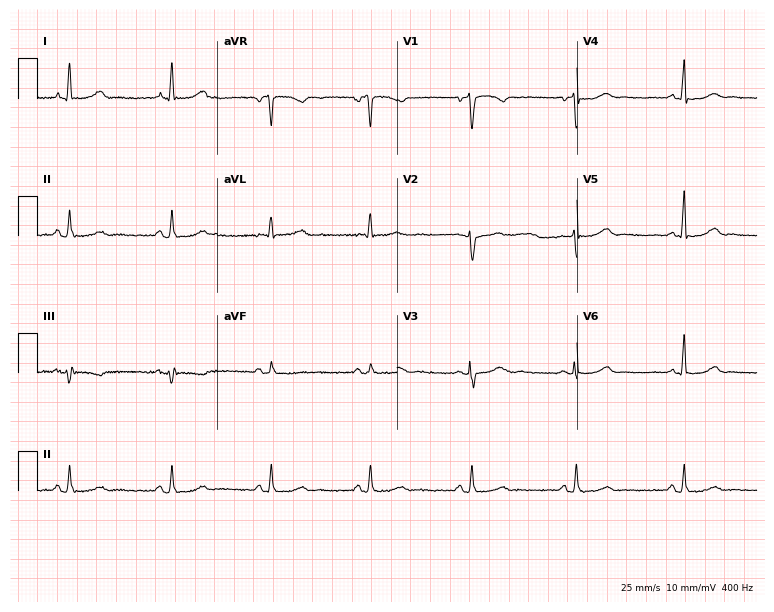
12-lead ECG from a 61-year-old female patient. Recorded interpretation: within normal limits.